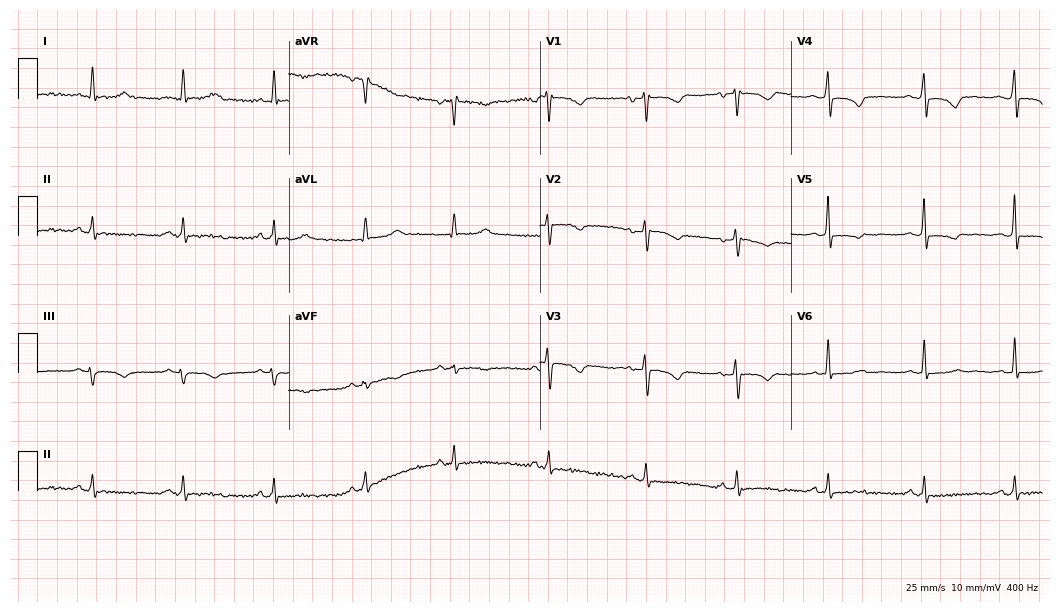
12-lead ECG from a 47-year-old female patient (10.2-second recording at 400 Hz). No first-degree AV block, right bundle branch block, left bundle branch block, sinus bradycardia, atrial fibrillation or sinus tachycardia recorded for this tracing. Other findings, if any, are not listed.